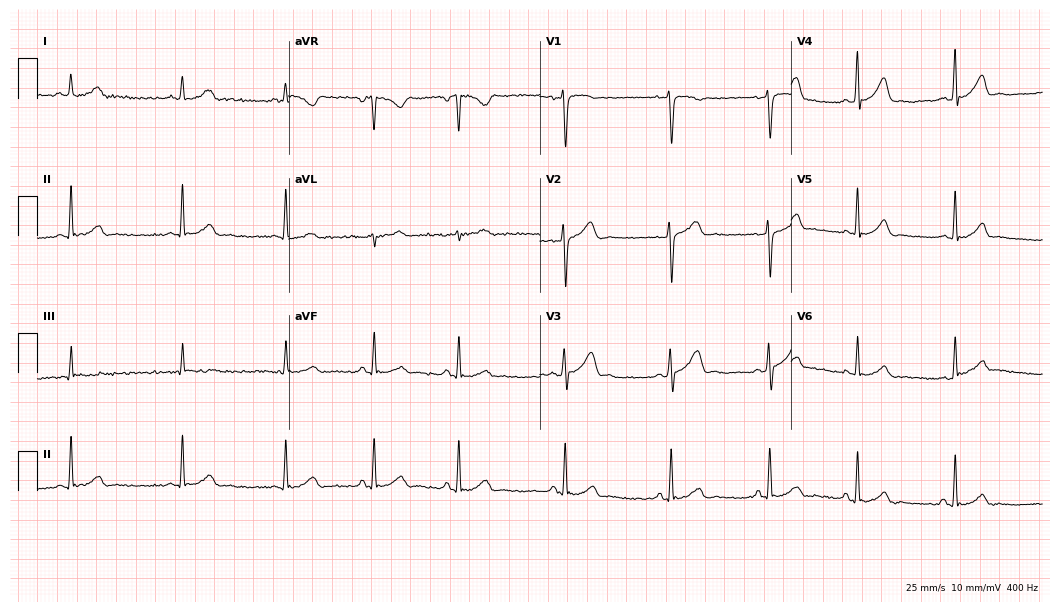
Standard 12-lead ECG recorded from a man, 28 years old. None of these six findings is recorded: first-degree AV block, right bundle branch block, left bundle branch block, sinus bradycardia, atrial fibrillation, sinus tachycardia.